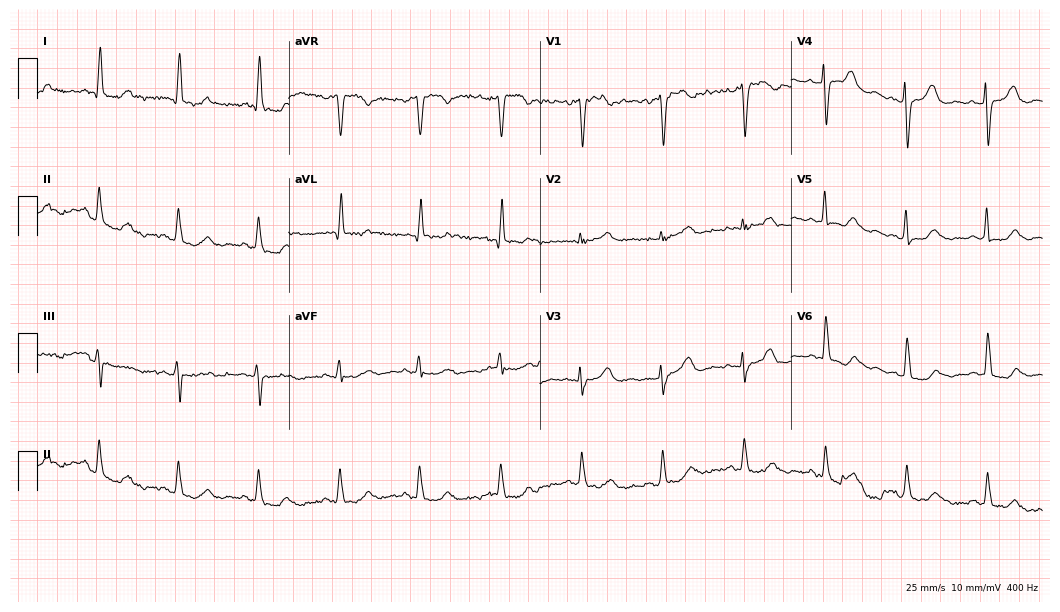
12-lead ECG from a female, 60 years old. No first-degree AV block, right bundle branch block, left bundle branch block, sinus bradycardia, atrial fibrillation or sinus tachycardia recorded for this tracing. Other findings, if any, are not listed.